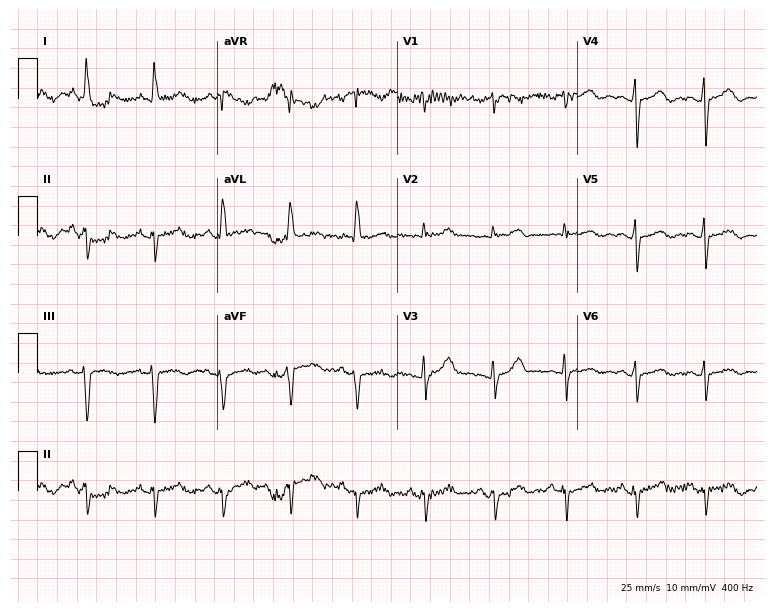
Standard 12-lead ECG recorded from a female, 60 years old. None of these six findings is recorded: first-degree AV block, right bundle branch block, left bundle branch block, sinus bradycardia, atrial fibrillation, sinus tachycardia. Other findings, if any, are not listed.